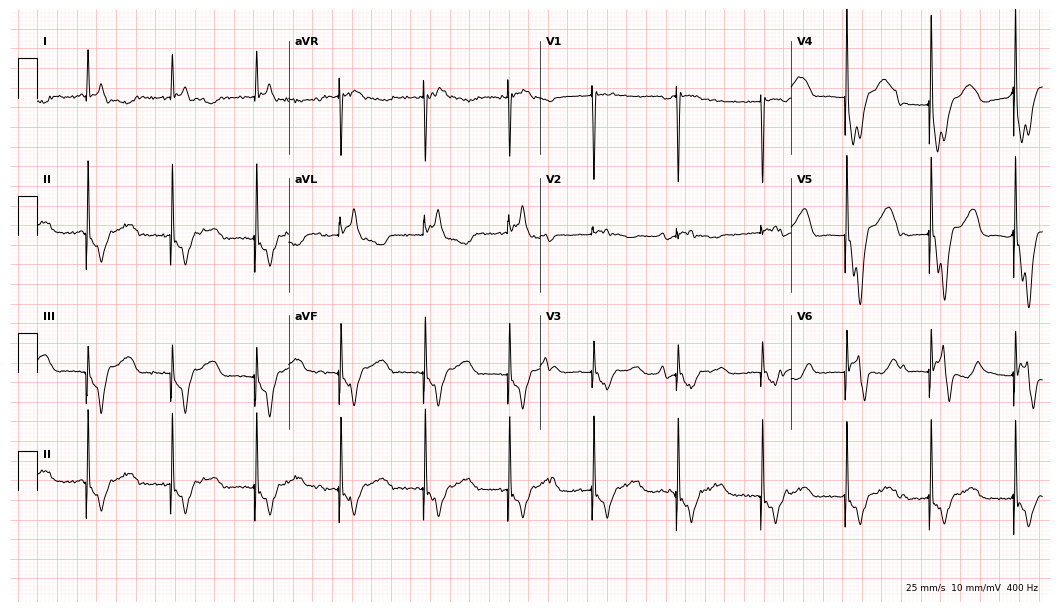
Resting 12-lead electrocardiogram (10.2-second recording at 400 Hz). Patient: a male, 73 years old. None of these six findings is recorded: first-degree AV block, right bundle branch block (RBBB), left bundle branch block (LBBB), sinus bradycardia, atrial fibrillation (AF), sinus tachycardia. Only these six findings were labelled.